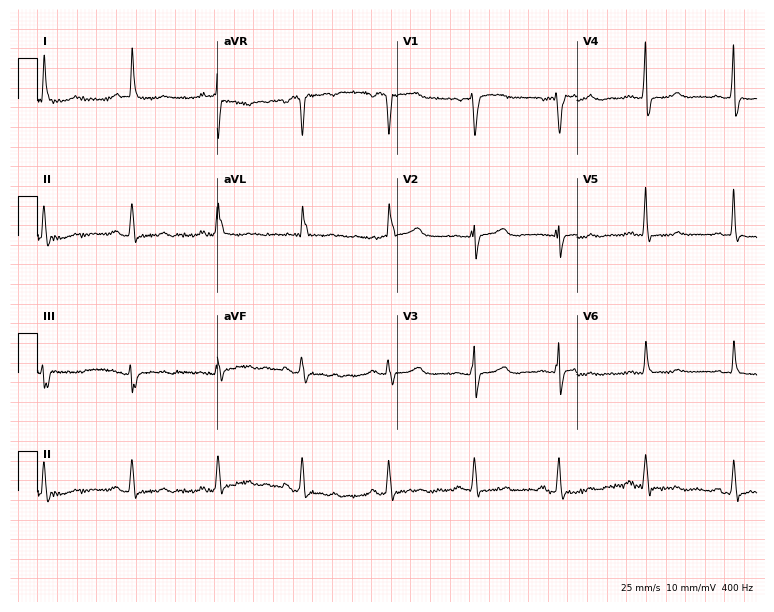
12-lead ECG (7.3-second recording at 400 Hz) from a 64-year-old female. Screened for six findings — first-degree AV block, right bundle branch block (RBBB), left bundle branch block (LBBB), sinus bradycardia, atrial fibrillation (AF), sinus tachycardia — none is recorded.